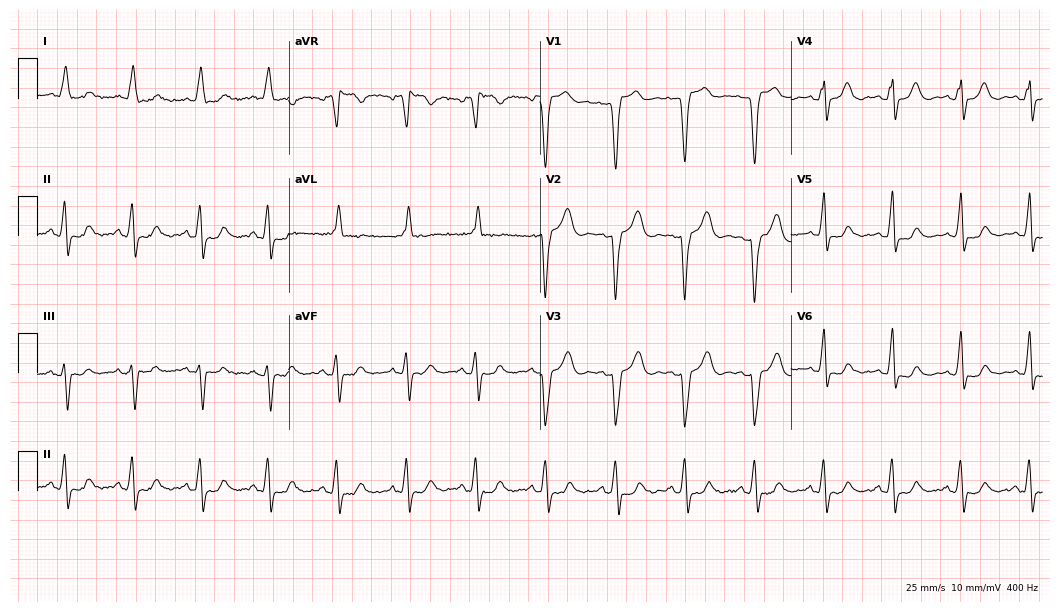
12-lead ECG from a 51-year-old female. Shows left bundle branch block (LBBB).